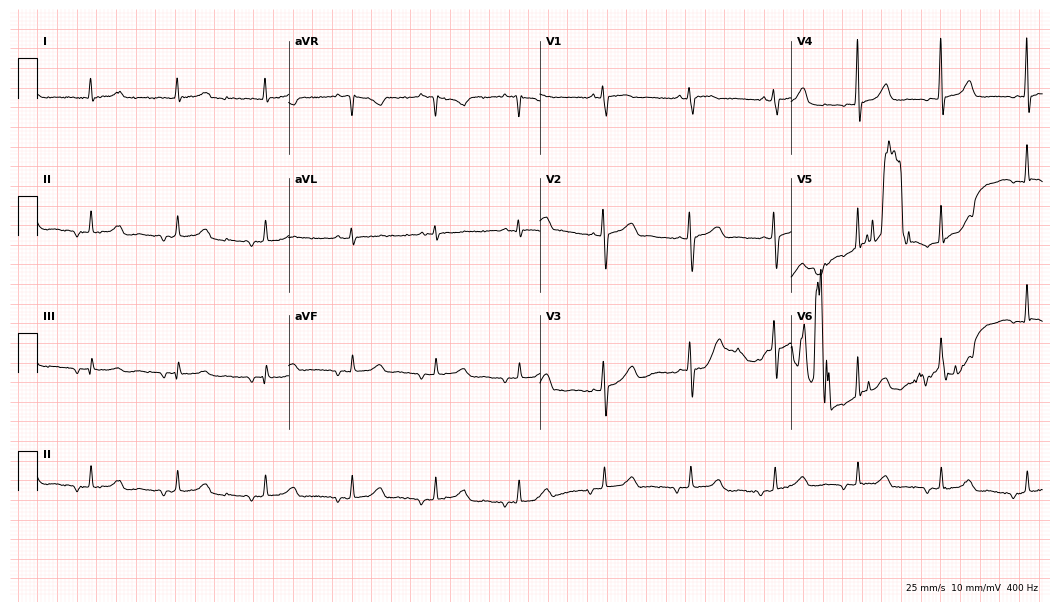
Resting 12-lead electrocardiogram (10.2-second recording at 400 Hz). Patient: an 82-year-old female. None of these six findings is recorded: first-degree AV block, right bundle branch block (RBBB), left bundle branch block (LBBB), sinus bradycardia, atrial fibrillation (AF), sinus tachycardia.